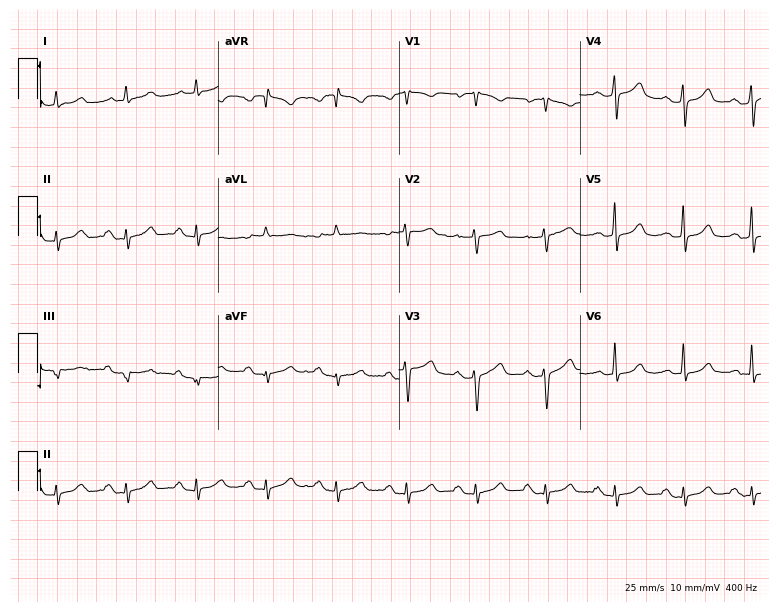
Resting 12-lead electrocardiogram (7.4-second recording at 400 Hz). Patient: a female, 53 years old. None of these six findings is recorded: first-degree AV block, right bundle branch block (RBBB), left bundle branch block (LBBB), sinus bradycardia, atrial fibrillation (AF), sinus tachycardia.